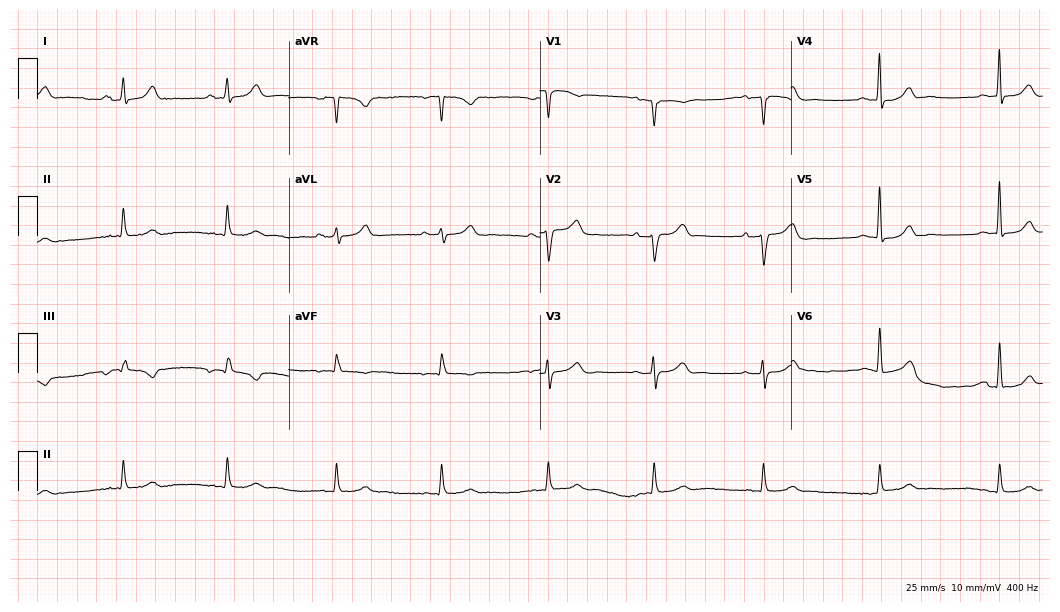
12-lead ECG from a 43-year-old female (10.2-second recording at 400 Hz). Recorded interpretation: within normal limits.